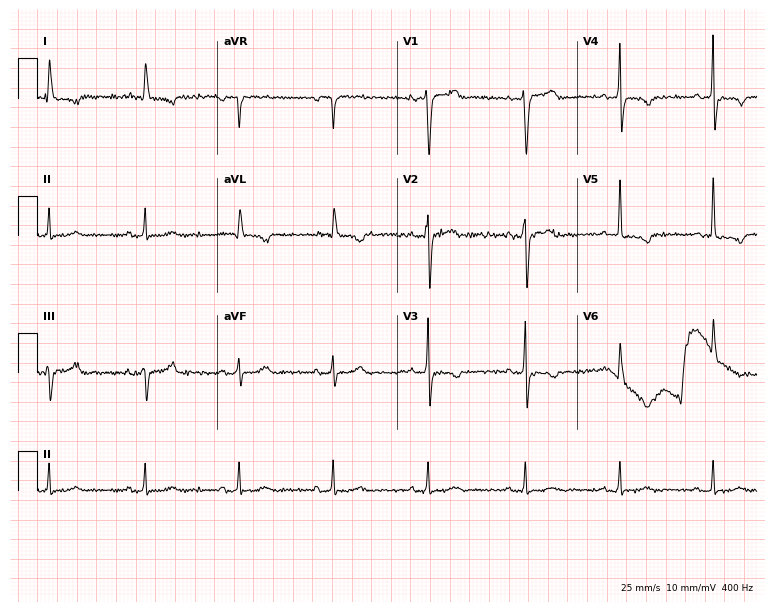
12-lead ECG from a man, 85 years old (7.3-second recording at 400 Hz). No first-degree AV block, right bundle branch block, left bundle branch block, sinus bradycardia, atrial fibrillation or sinus tachycardia recorded for this tracing. Findings outside these six are not listed.